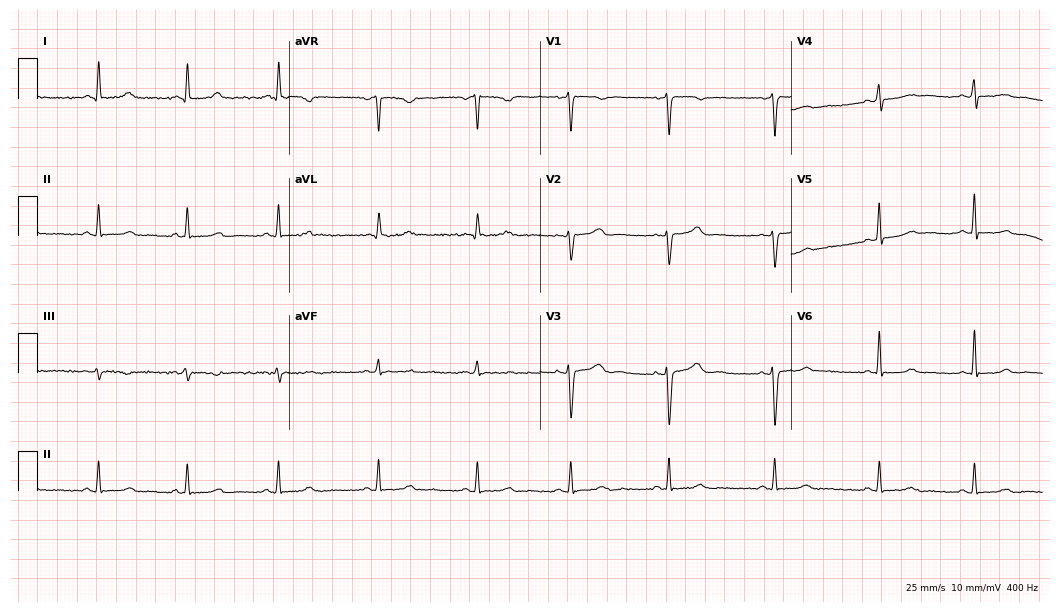
ECG — a woman, 38 years old. Screened for six findings — first-degree AV block, right bundle branch block, left bundle branch block, sinus bradycardia, atrial fibrillation, sinus tachycardia — none is recorded. Only these six findings were labelled.